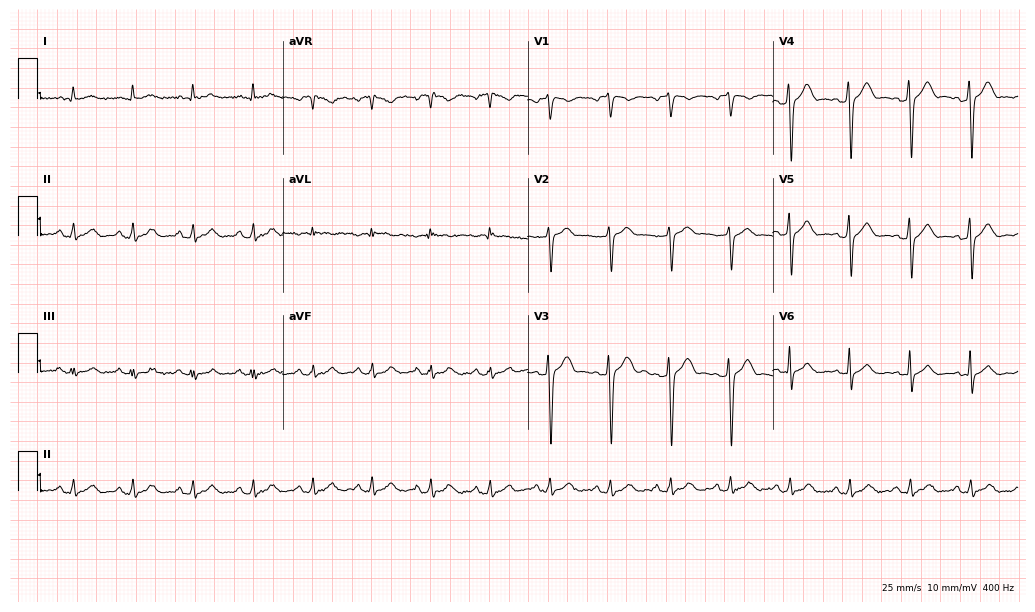
12-lead ECG from a 77-year-old male patient (10-second recording at 400 Hz). Recorded interpretation: within normal limits.